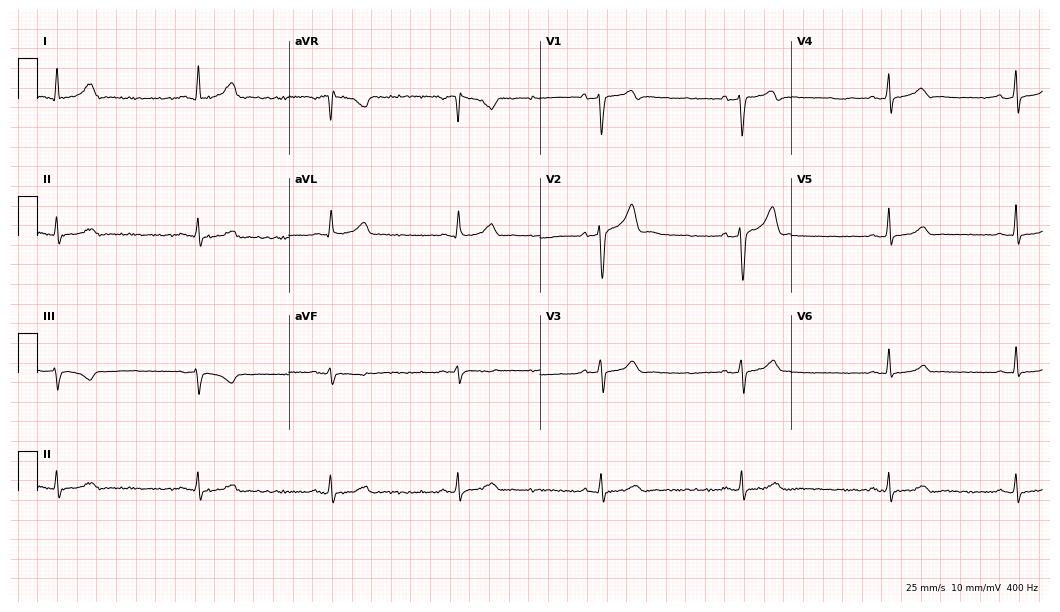
ECG — a male patient, 44 years old. Screened for six findings — first-degree AV block, right bundle branch block, left bundle branch block, sinus bradycardia, atrial fibrillation, sinus tachycardia — none is recorded.